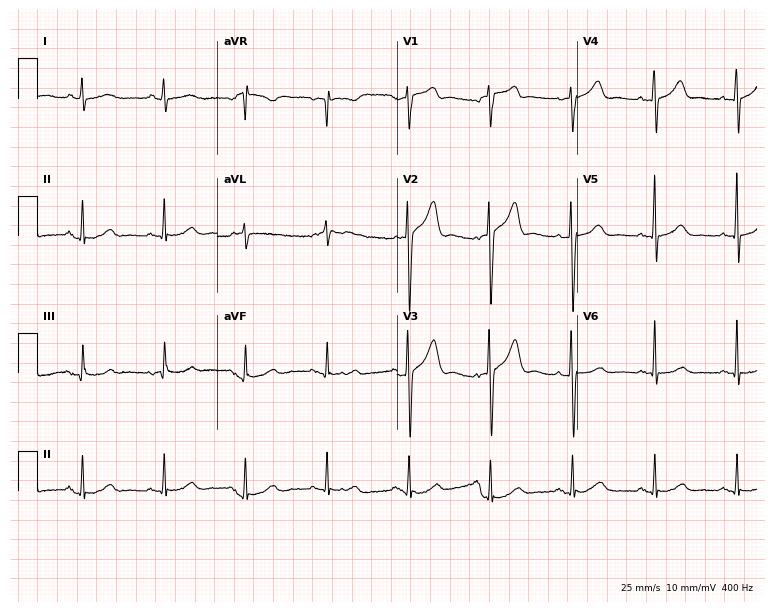
ECG — a man, 56 years old. Labelled as a normal ECG.